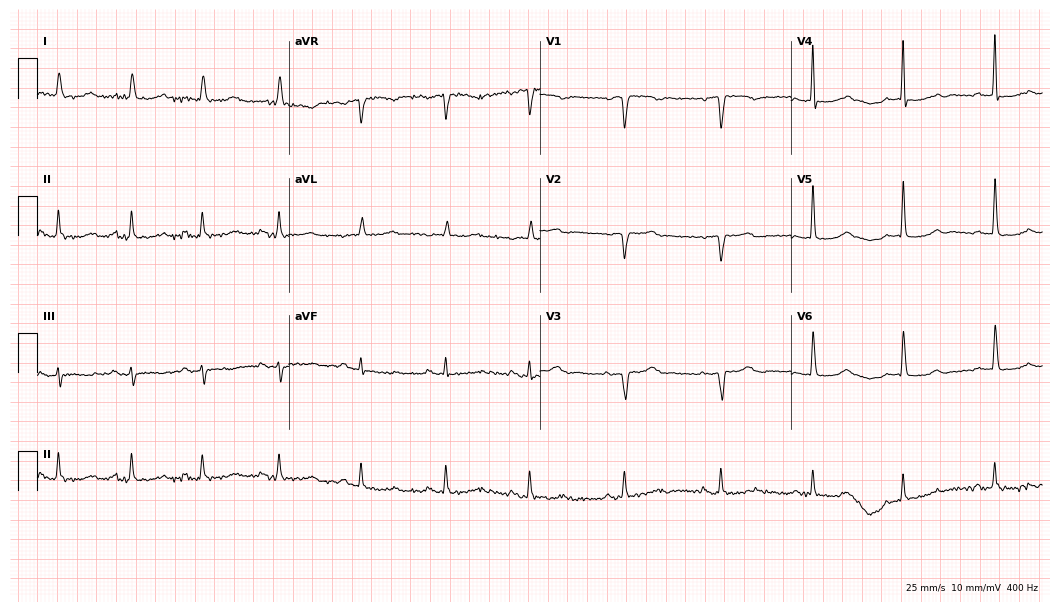
ECG — a 72-year-old female. Screened for six findings — first-degree AV block, right bundle branch block (RBBB), left bundle branch block (LBBB), sinus bradycardia, atrial fibrillation (AF), sinus tachycardia — none is recorded.